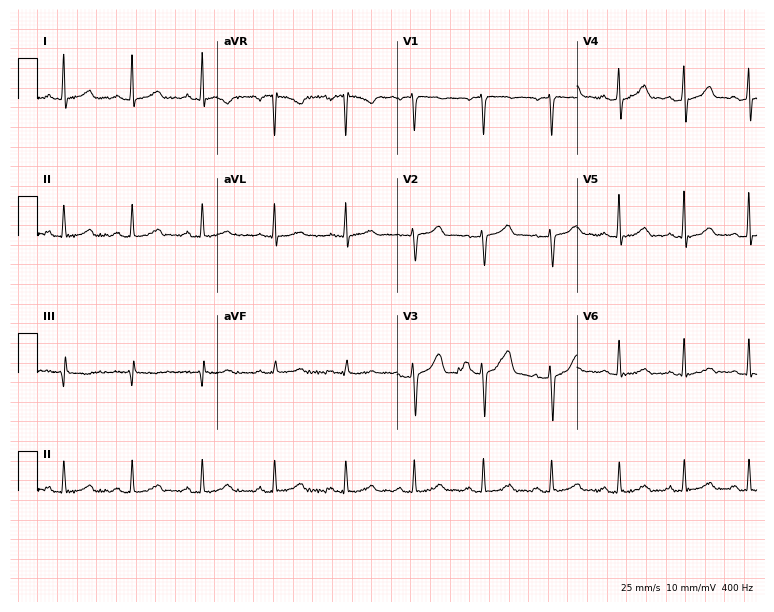
Electrocardiogram (7.3-second recording at 400 Hz), a 34-year-old woman. Overall reading on record: normal ECG.